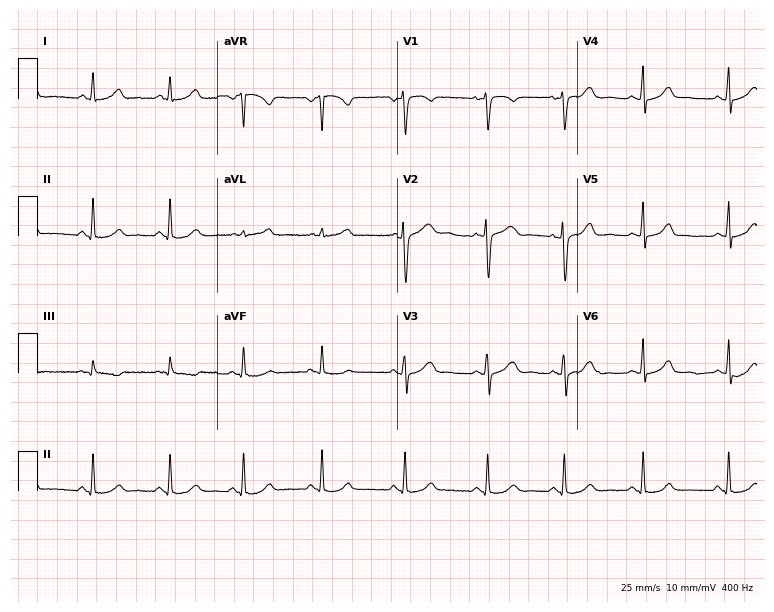
ECG (7.3-second recording at 400 Hz) — a 32-year-old female patient. Screened for six findings — first-degree AV block, right bundle branch block, left bundle branch block, sinus bradycardia, atrial fibrillation, sinus tachycardia — none is recorded.